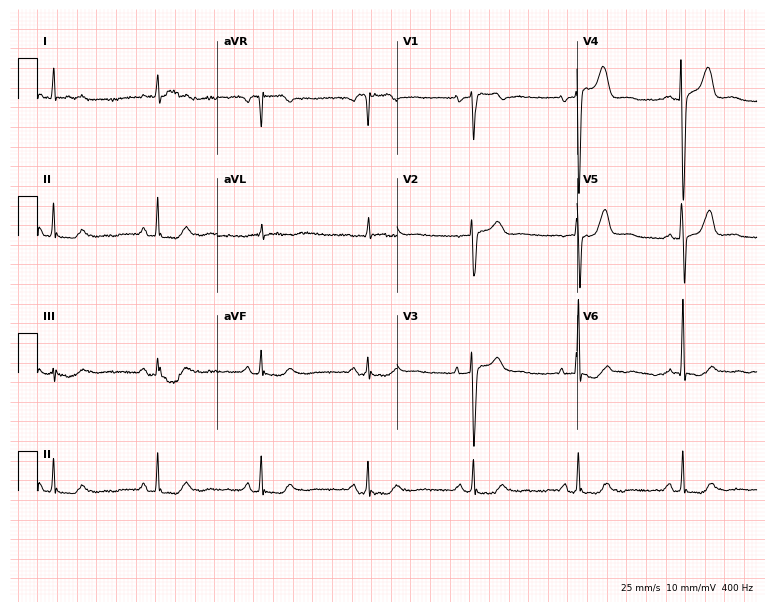
12-lead ECG from a male, 81 years old (7.3-second recording at 400 Hz). No first-degree AV block, right bundle branch block, left bundle branch block, sinus bradycardia, atrial fibrillation or sinus tachycardia recorded for this tracing.